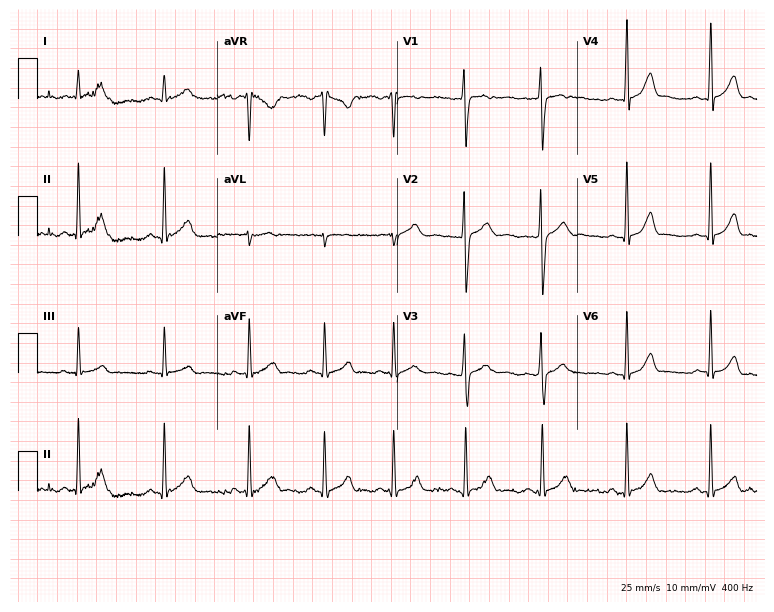
Electrocardiogram, a 17-year-old woman. Of the six screened findings (first-degree AV block, right bundle branch block (RBBB), left bundle branch block (LBBB), sinus bradycardia, atrial fibrillation (AF), sinus tachycardia), none is recorded. Other findings, if any, are not listed.